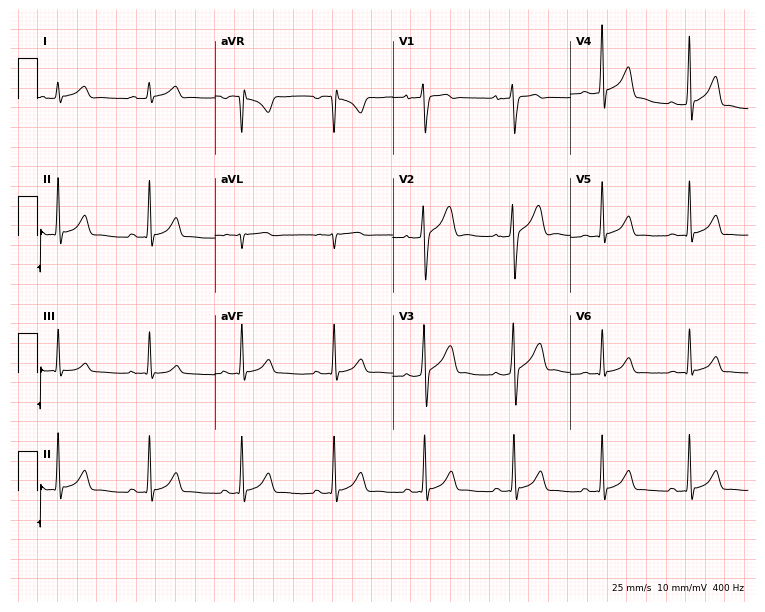
12-lead ECG from a man, 23 years old. Recorded interpretation: within normal limits.